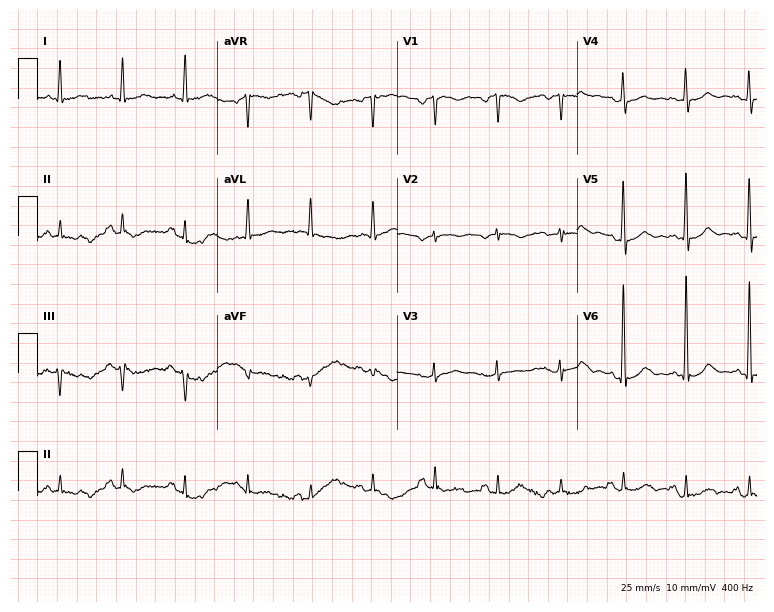
Standard 12-lead ECG recorded from a 72-year-old woman. None of these six findings is recorded: first-degree AV block, right bundle branch block, left bundle branch block, sinus bradycardia, atrial fibrillation, sinus tachycardia. Other findings, if any, are not listed.